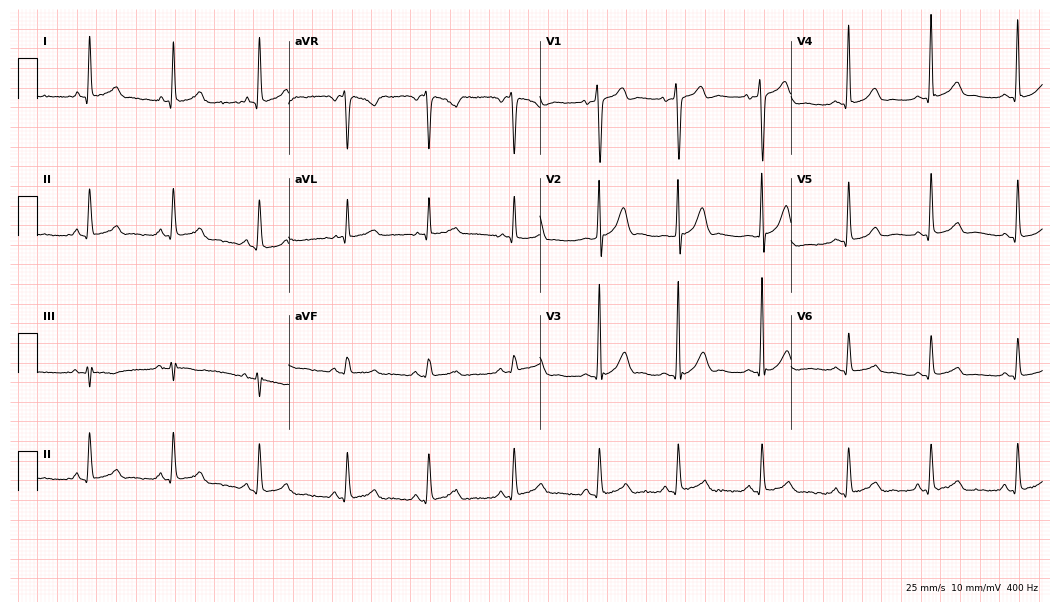
12-lead ECG from a man, 40 years old (10.2-second recording at 400 Hz). Recorded interpretation: within normal limits.